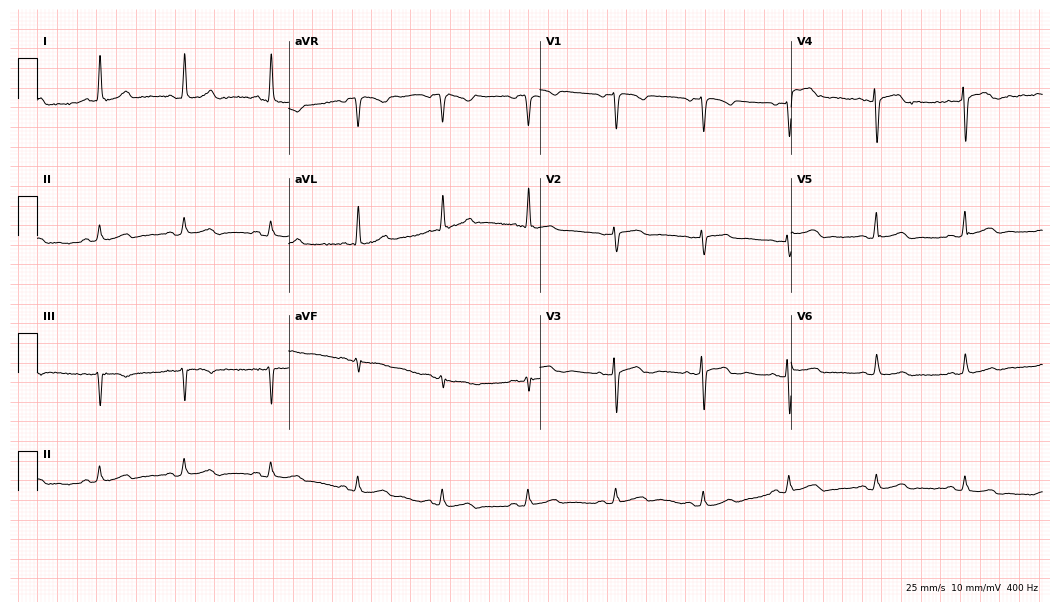
ECG (10.2-second recording at 400 Hz) — a 42-year-old female patient. Labelled as a normal ECG.